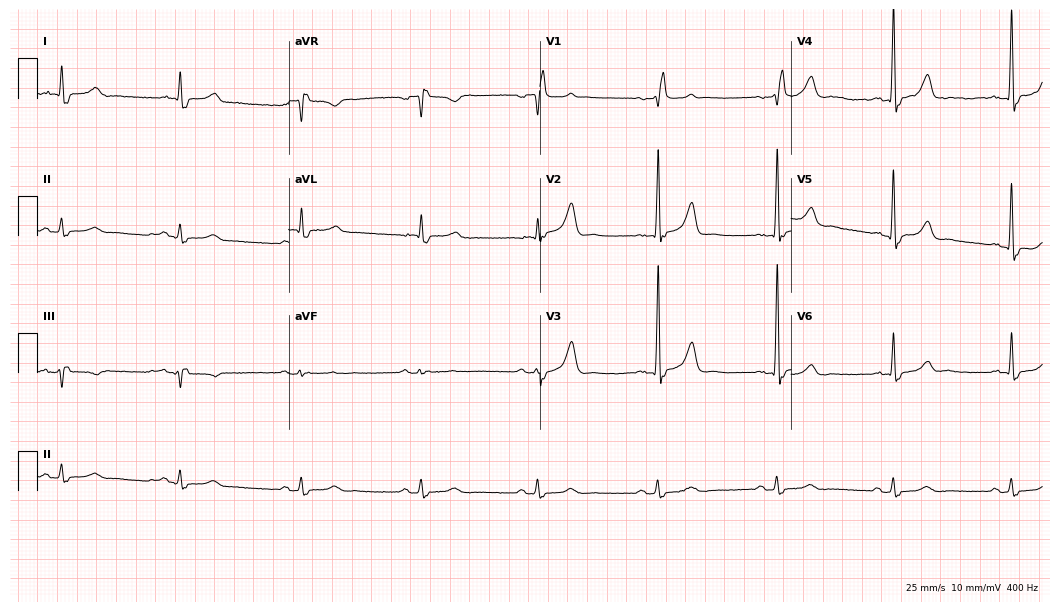
Resting 12-lead electrocardiogram (10.2-second recording at 400 Hz). Patient: a man, 86 years old. The tracing shows right bundle branch block (RBBB), sinus bradycardia (a sinus rate of 50 beats per minute or less).